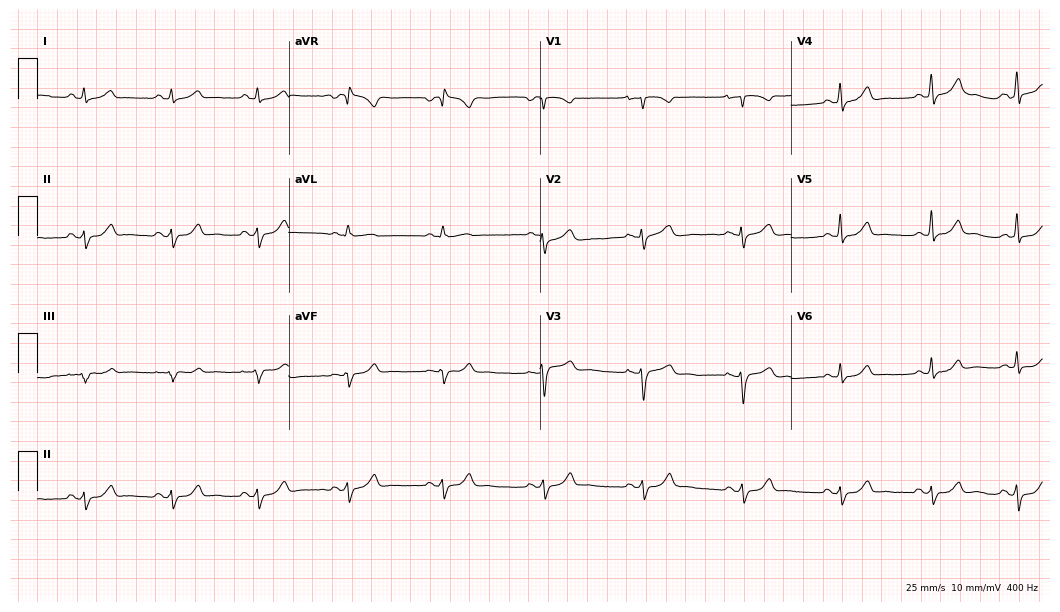
12-lead ECG from a 40-year-old woman. No first-degree AV block, right bundle branch block (RBBB), left bundle branch block (LBBB), sinus bradycardia, atrial fibrillation (AF) or sinus tachycardia recorded for this tracing.